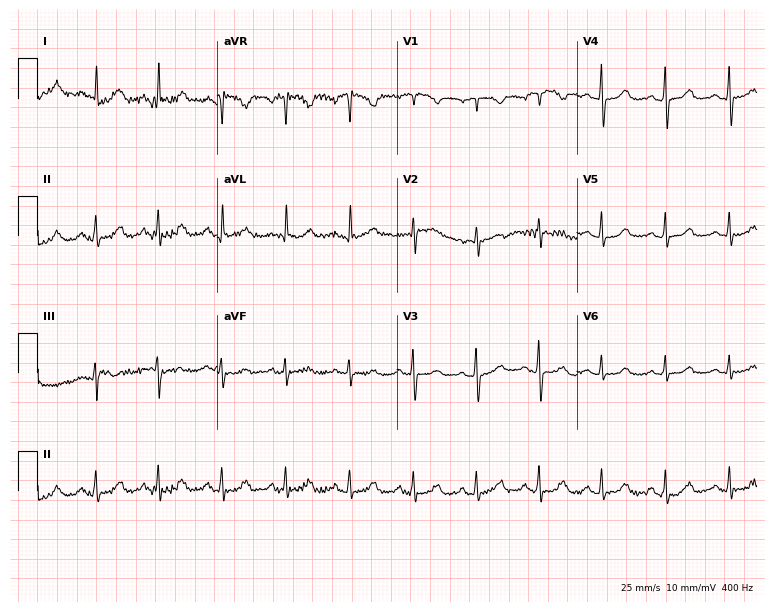
12-lead ECG (7.3-second recording at 400 Hz) from a 72-year-old woman. Labelled as a normal ECG.